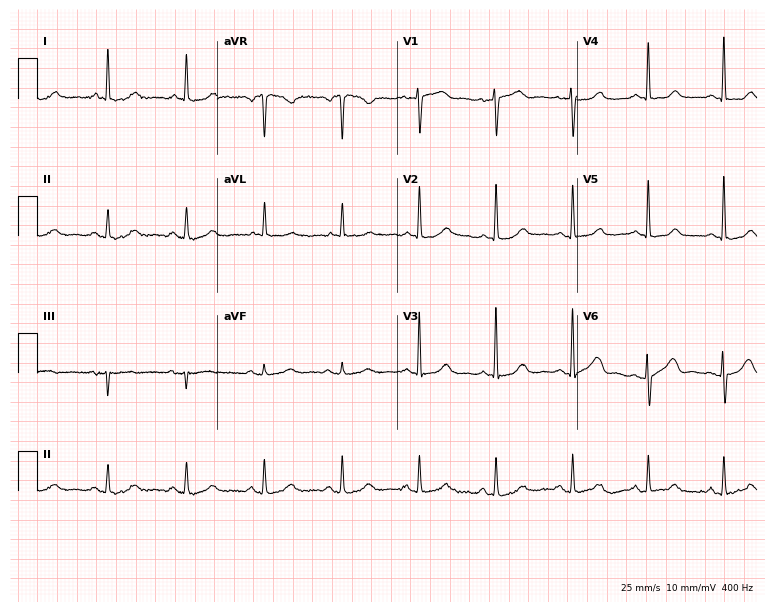
12-lead ECG from an 84-year-old female. Screened for six findings — first-degree AV block, right bundle branch block, left bundle branch block, sinus bradycardia, atrial fibrillation, sinus tachycardia — none is recorded.